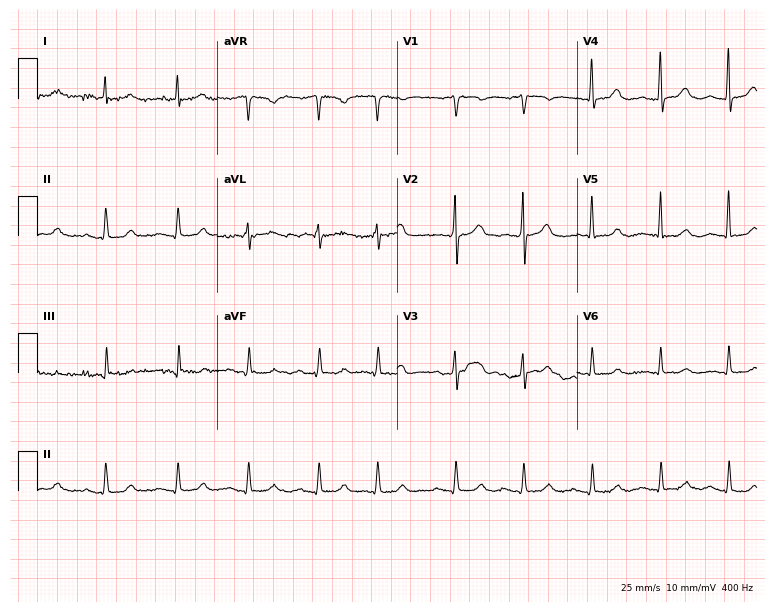
12-lead ECG from a 79-year-old man. Labelled as a normal ECG.